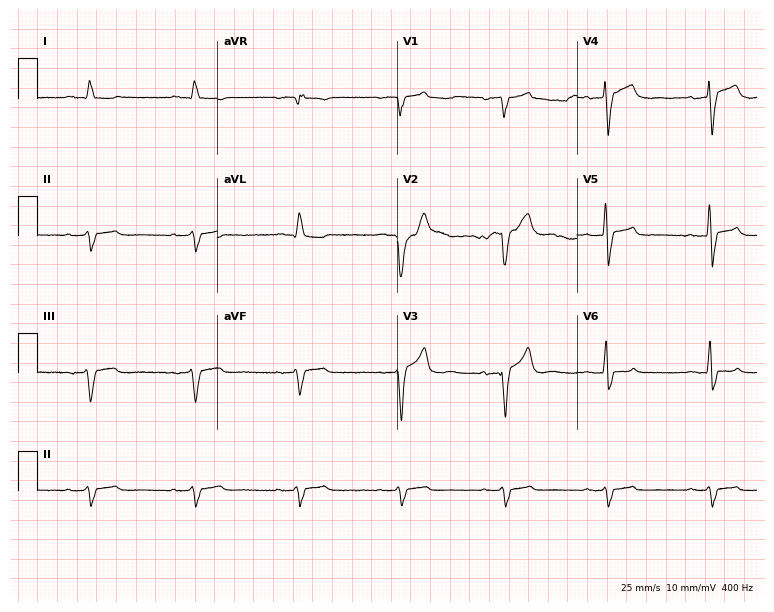
Electrocardiogram (7.3-second recording at 400 Hz), an 81-year-old man. Of the six screened findings (first-degree AV block, right bundle branch block, left bundle branch block, sinus bradycardia, atrial fibrillation, sinus tachycardia), none is recorded. Only these six findings were labelled.